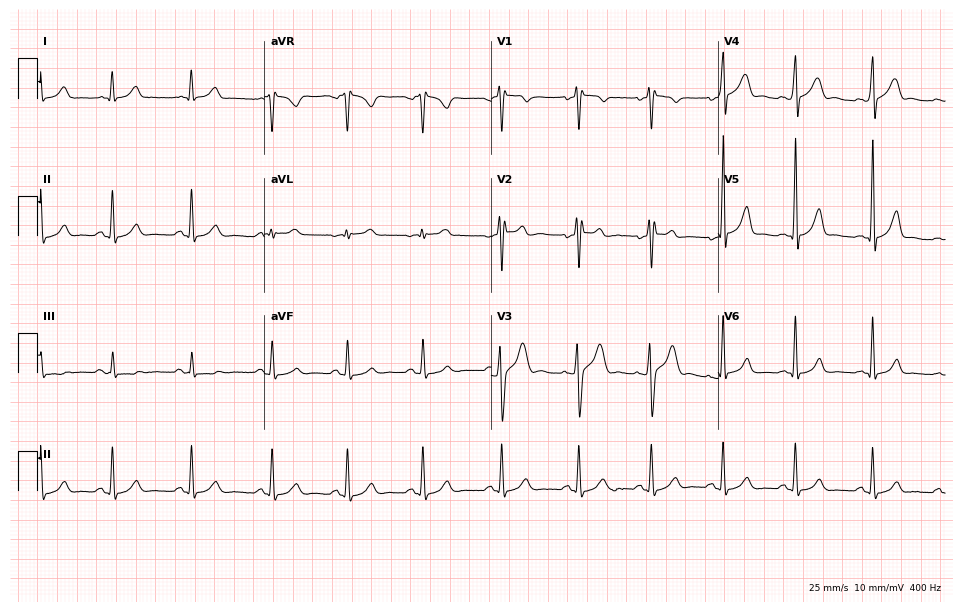
Resting 12-lead electrocardiogram (9.3-second recording at 400 Hz). Patient: a 21-year-old man. None of these six findings is recorded: first-degree AV block, right bundle branch block, left bundle branch block, sinus bradycardia, atrial fibrillation, sinus tachycardia.